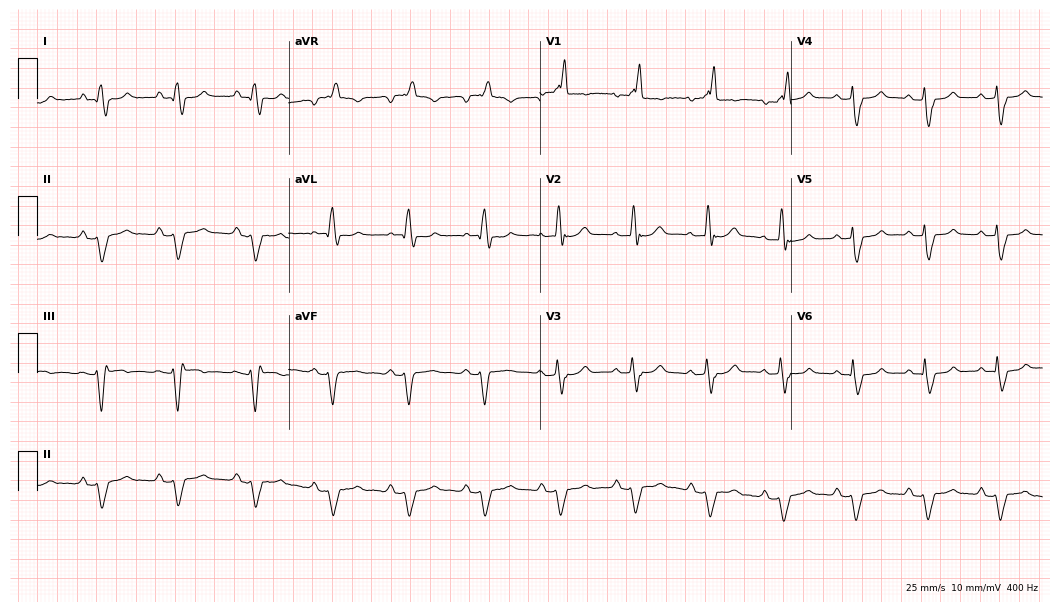
12-lead ECG (10.2-second recording at 400 Hz) from a male patient, 76 years old. Findings include right bundle branch block (RBBB).